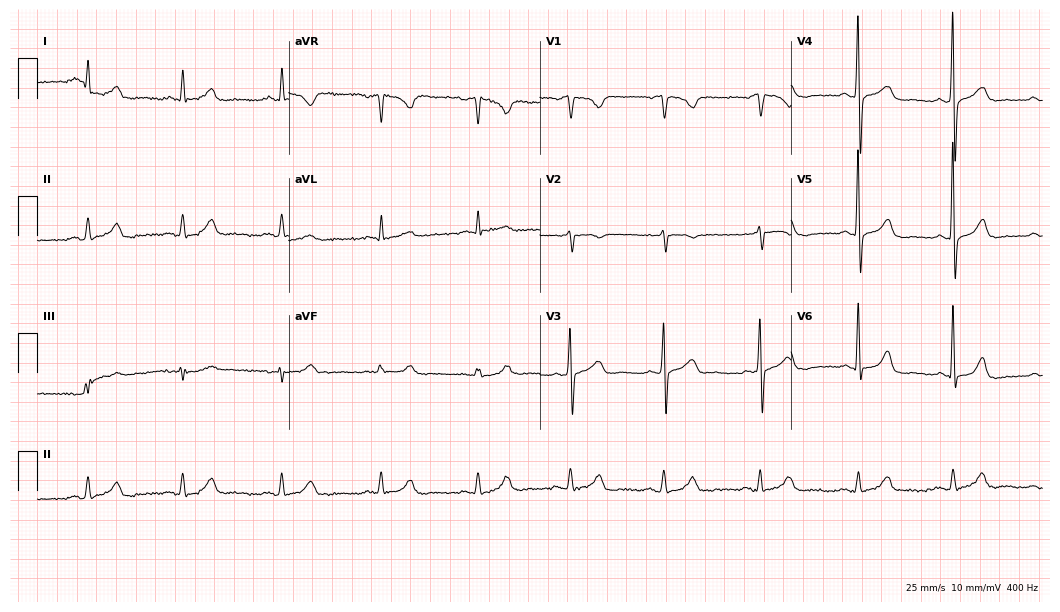
Electrocardiogram, a female, 65 years old. Overall reading on record: normal ECG.